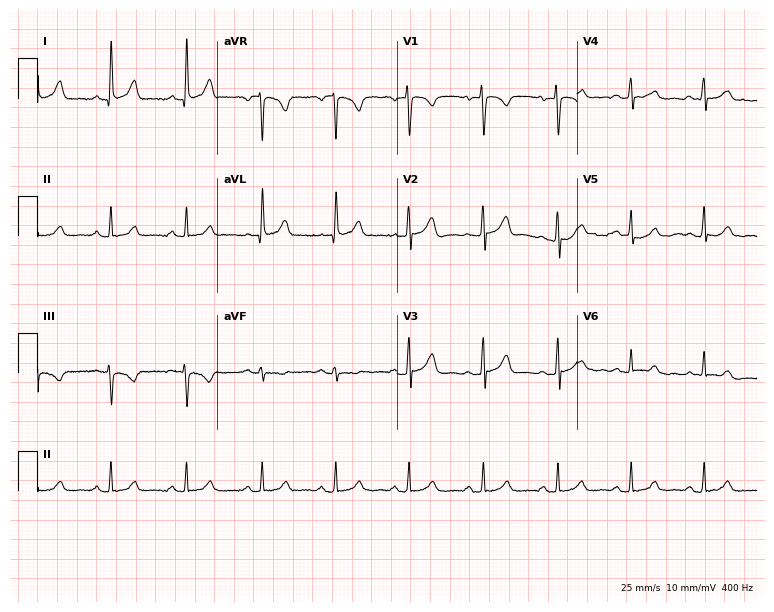
12-lead ECG from a 42-year-old female patient. Recorded interpretation: within normal limits.